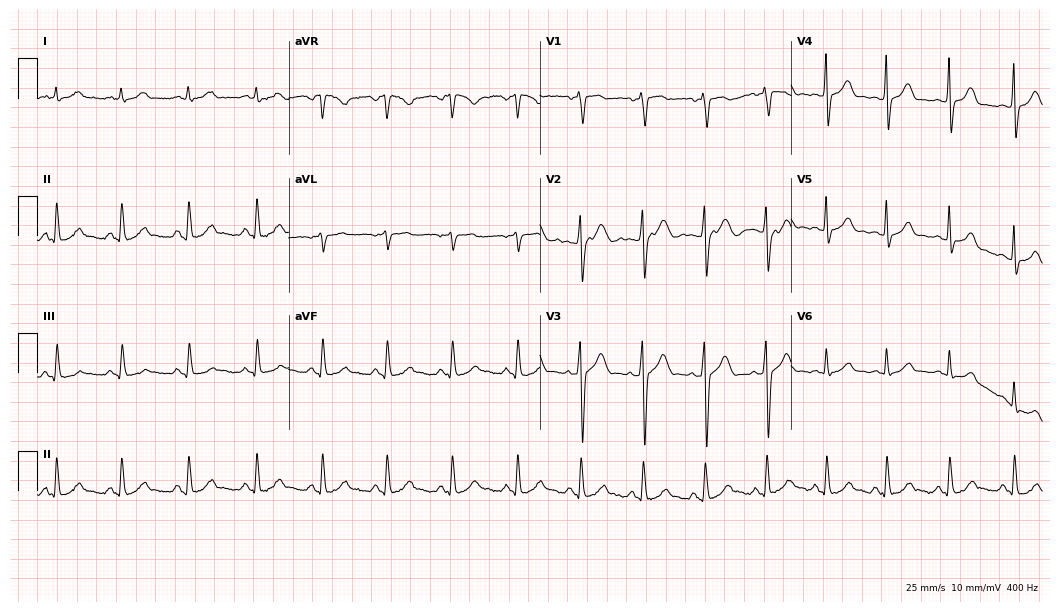
Electrocardiogram (10.2-second recording at 400 Hz), a 31-year-old female. Overall reading on record: normal ECG.